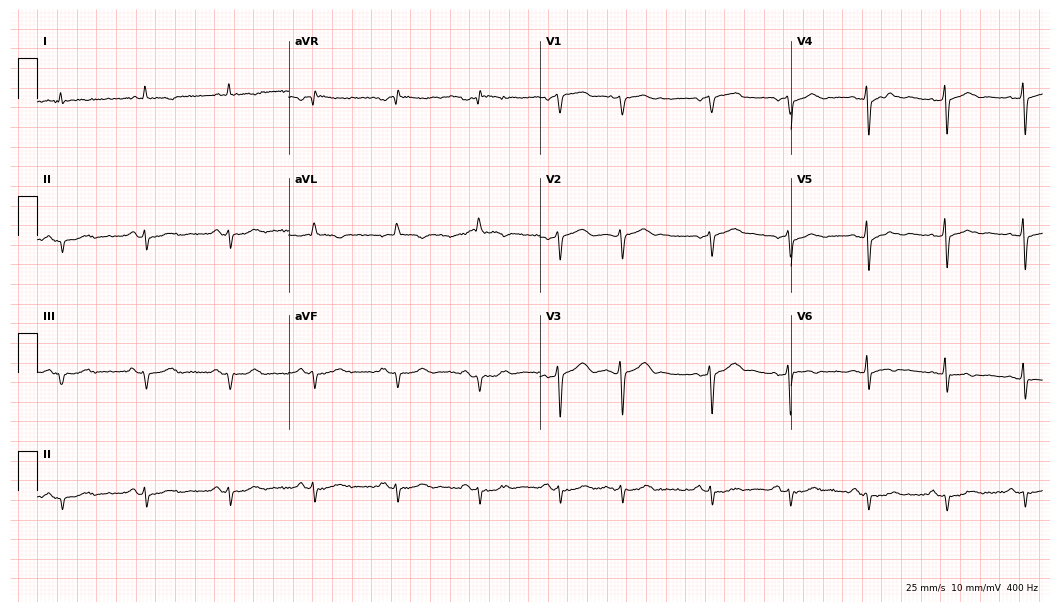
12-lead ECG (10.2-second recording at 400 Hz) from a man, 76 years old. Screened for six findings — first-degree AV block, right bundle branch block (RBBB), left bundle branch block (LBBB), sinus bradycardia, atrial fibrillation (AF), sinus tachycardia — none is recorded. Other findings, if any, are not listed.